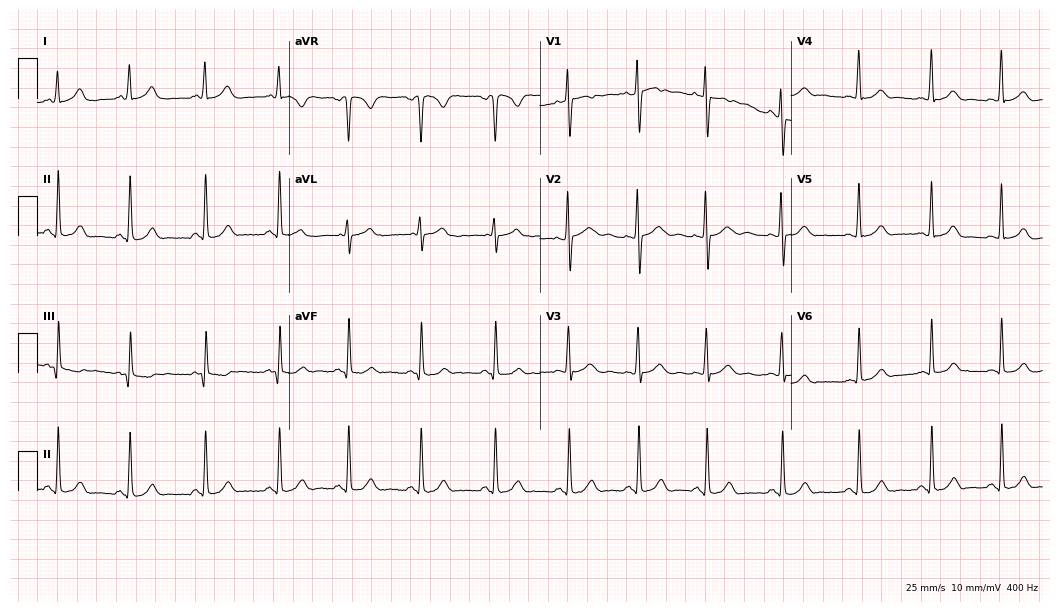
12-lead ECG (10.2-second recording at 400 Hz) from a 30-year-old female patient. Screened for six findings — first-degree AV block, right bundle branch block, left bundle branch block, sinus bradycardia, atrial fibrillation, sinus tachycardia — none is recorded. Other findings, if any, are not listed.